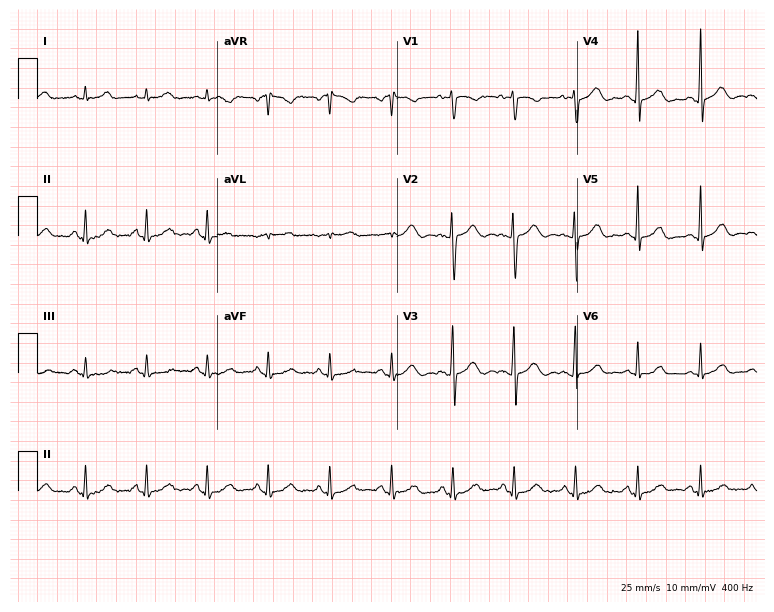
ECG (7.3-second recording at 400 Hz) — a 42-year-old female. Screened for six findings — first-degree AV block, right bundle branch block, left bundle branch block, sinus bradycardia, atrial fibrillation, sinus tachycardia — none is recorded.